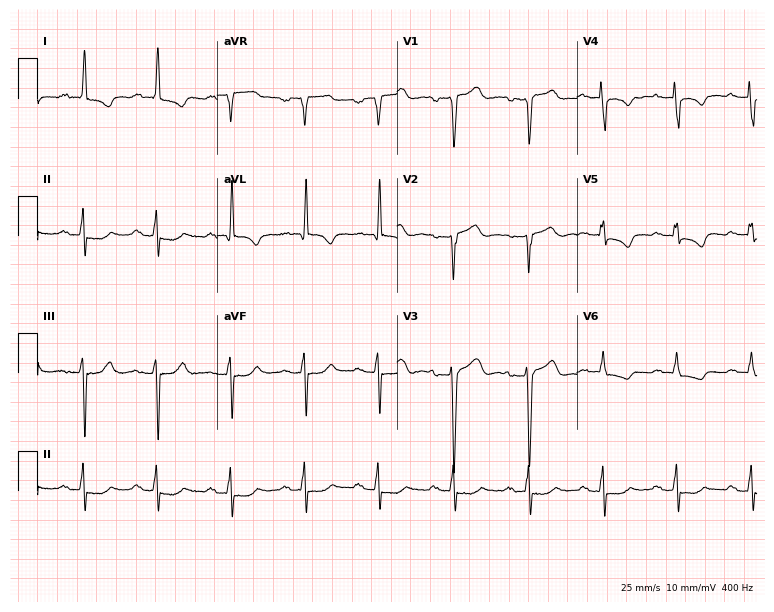
Resting 12-lead electrocardiogram (7.3-second recording at 400 Hz). Patient: a female, 70 years old. None of these six findings is recorded: first-degree AV block, right bundle branch block, left bundle branch block, sinus bradycardia, atrial fibrillation, sinus tachycardia. Only these six findings were labelled.